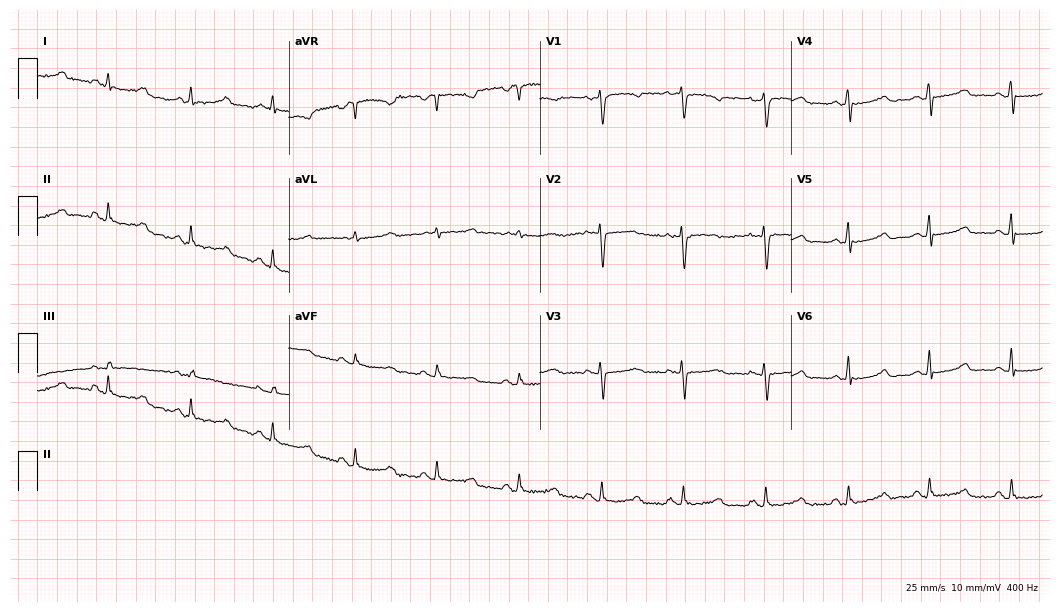
12-lead ECG from a female patient, 50 years old. No first-degree AV block, right bundle branch block (RBBB), left bundle branch block (LBBB), sinus bradycardia, atrial fibrillation (AF) or sinus tachycardia recorded for this tracing.